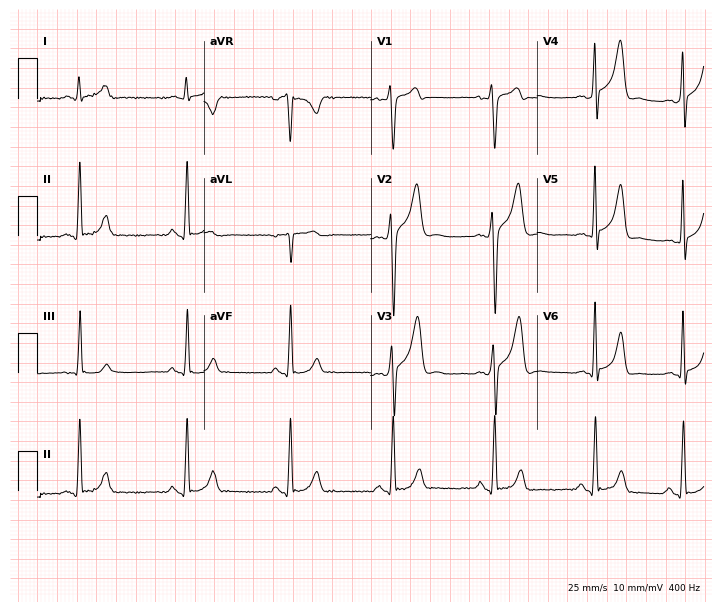
ECG — a 22-year-old man. Screened for six findings — first-degree AV block, right bundle branch block, left bundle branch block, sinus bradycardia, atrial fibrillation, sinus tachycardia — none is recorded.